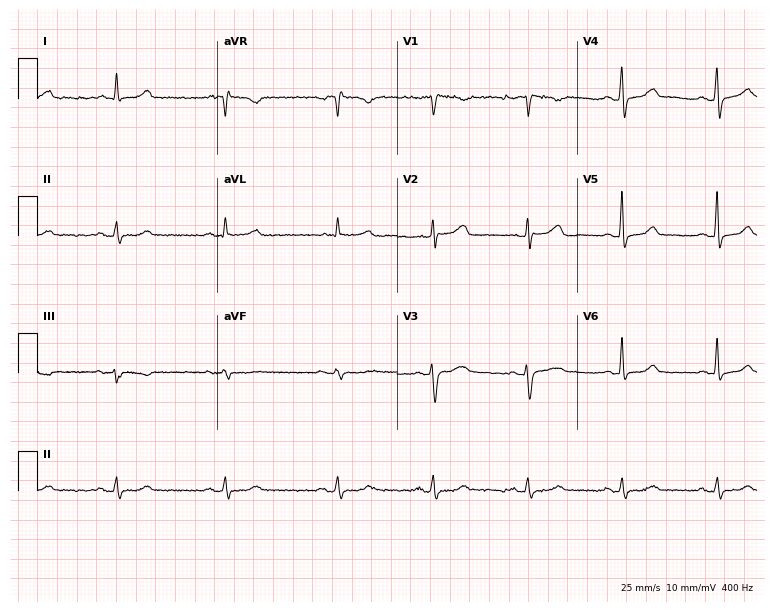
Standard 12-lead ECG recorded from a 51-year-old female patient (7.3-second recording at 400 Hz). Read as a normal ECG.